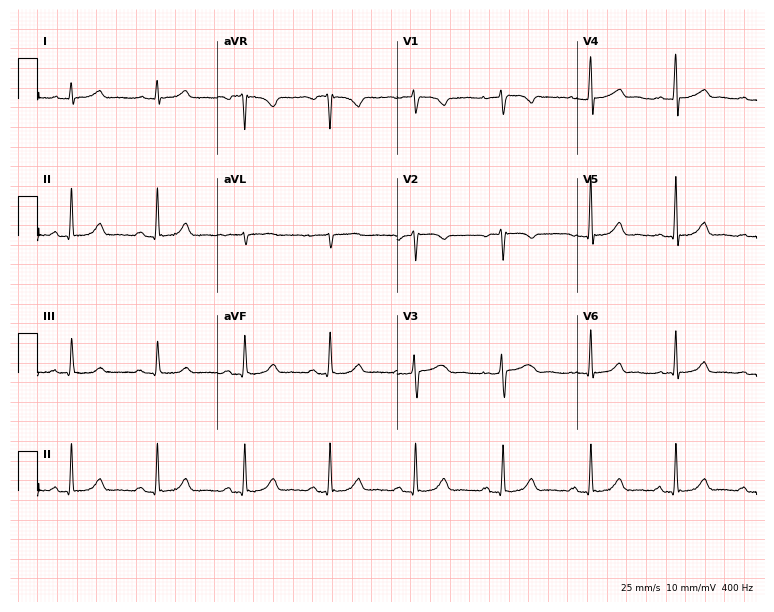
12-lead ECG from a 56-year-old female (7.3-second recording at 400 Hz). Recorded interpretation: within normal limits.